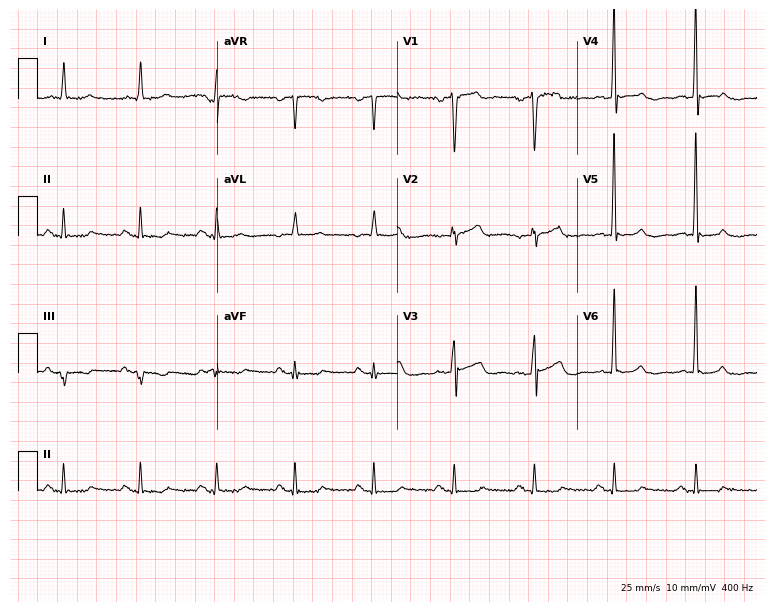
12-lead ECG from a 64-year-old man. Labelled as a normal ECG.